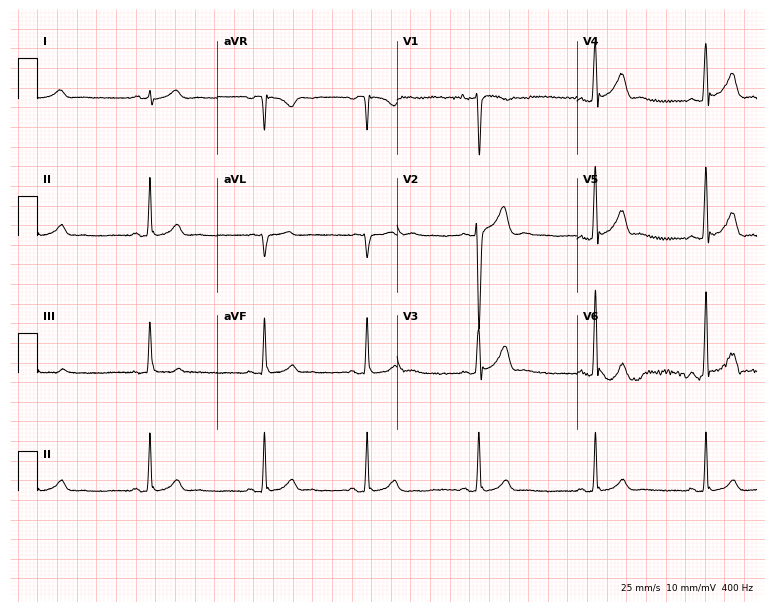
12-lead ECG from a man, 27 years old. Screened for six findings — first-degree AV block, right bundle branch block, left bundle branch block, sinus bradycardia, atrial fibrillation, sinus tachycardia — none is recorded.